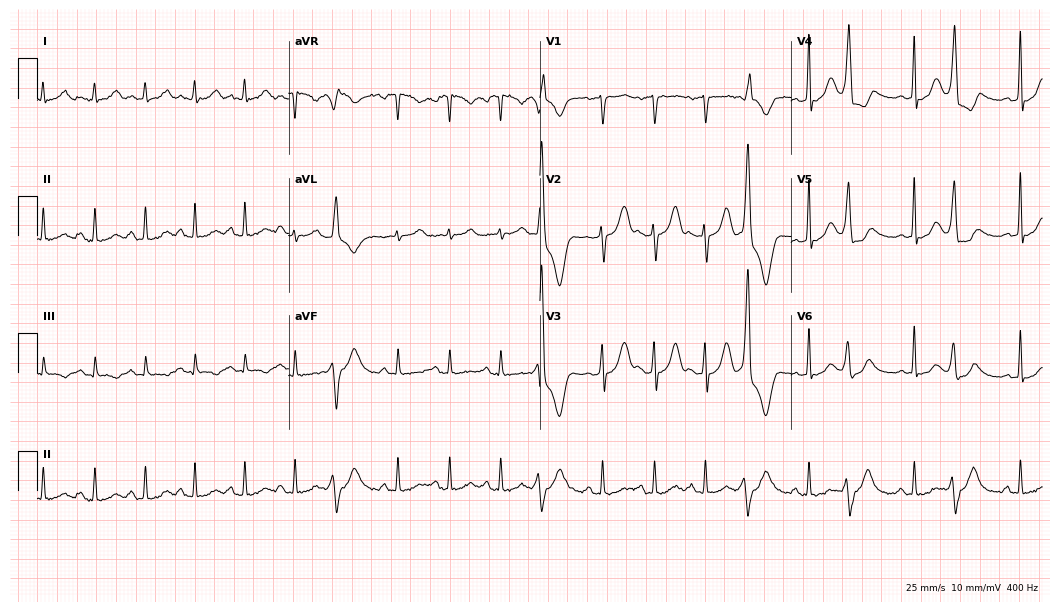
12-lead ECG (10.2-second recording at 400 Hz) from a 37-year-old female. Findings include sinus tachycardia (a sinus rate of 100 beats per minute or more).